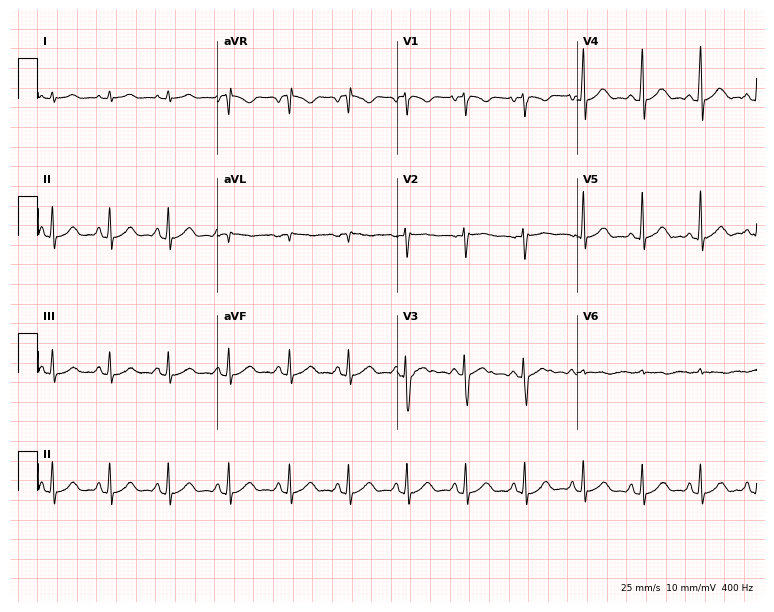
Resting 12-lead electrocardiogram. Patient: a woman, 18 years old. Read as a normal ECG.